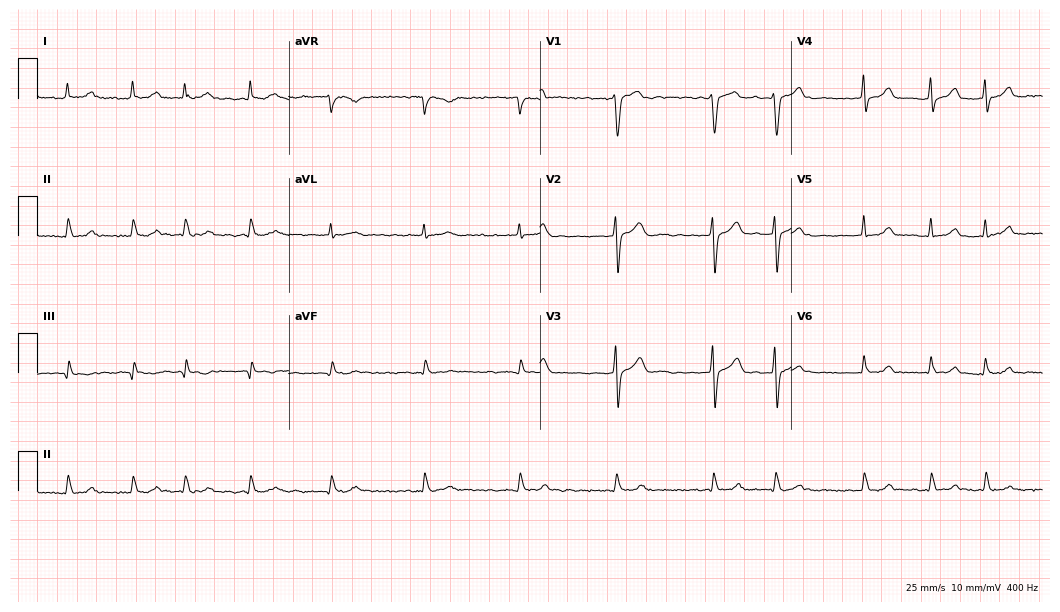
12-lead ECG from a 61-year-old man. Shows atrial fibrillation (AF).